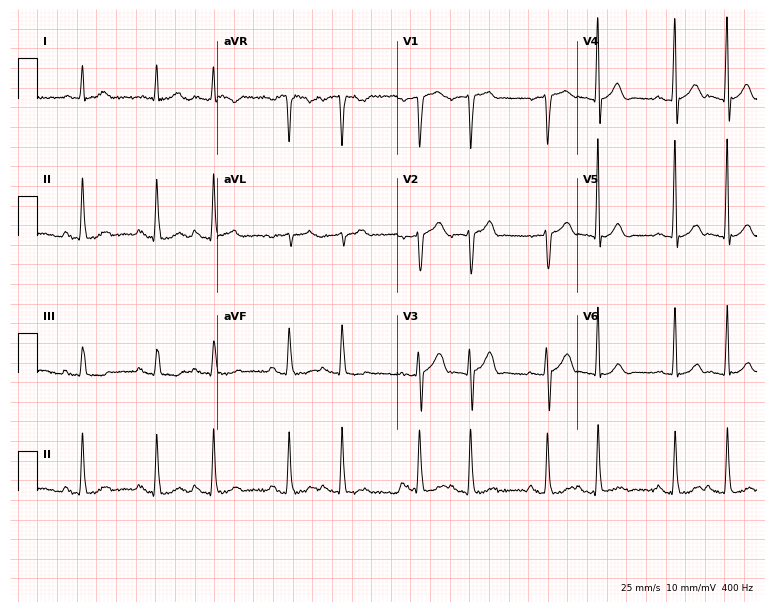
12-lead ECG from a male patient, 86 years old (7.3-second recording at 400 Hz). No first-degree AV block, right bundle branch block (RBBB), left bundle branch block (LBBB), sinus bradycardia, atrial fibrillation (AF) or sinus tachycardia recorded for this tracing.